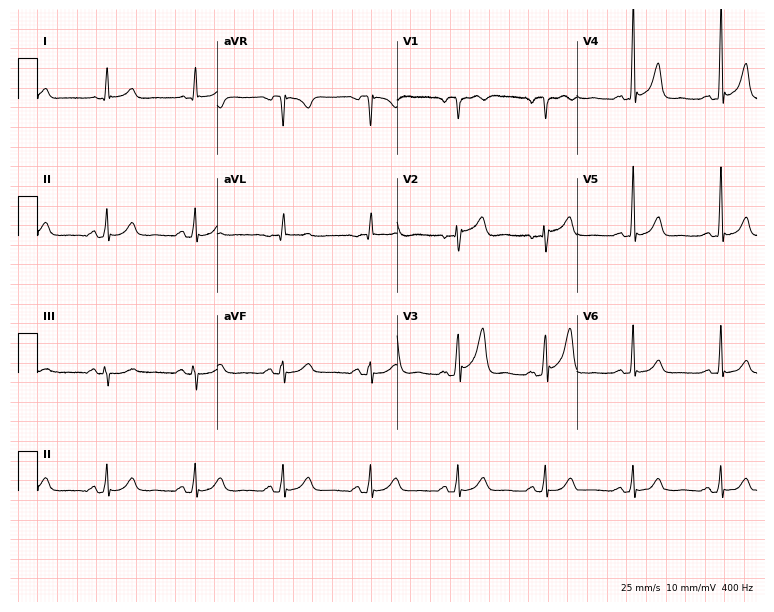
ECG (7.3-second recording at 400 Hz) — a man, 47 years old. Labelled as a normal ECG.